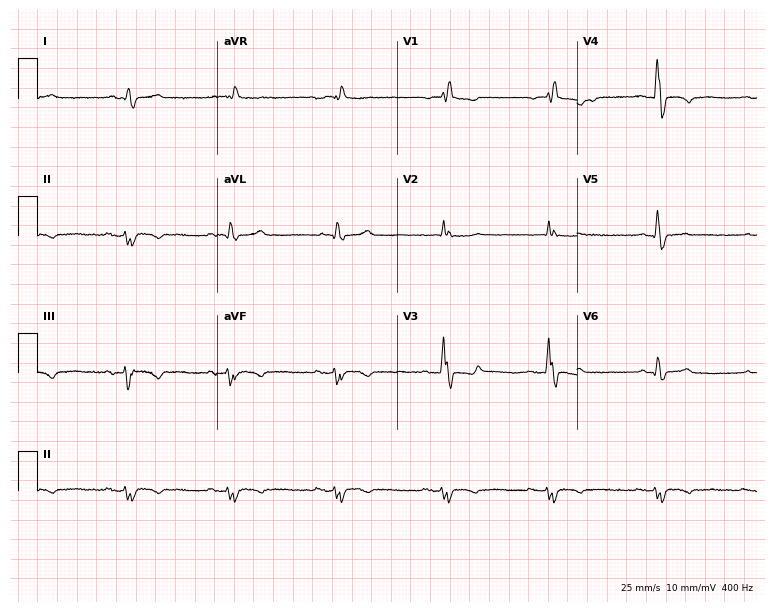
ECG (7.3-second recording at 400 Hz) — a male, 74 years old. Findings include right bundle branch block.